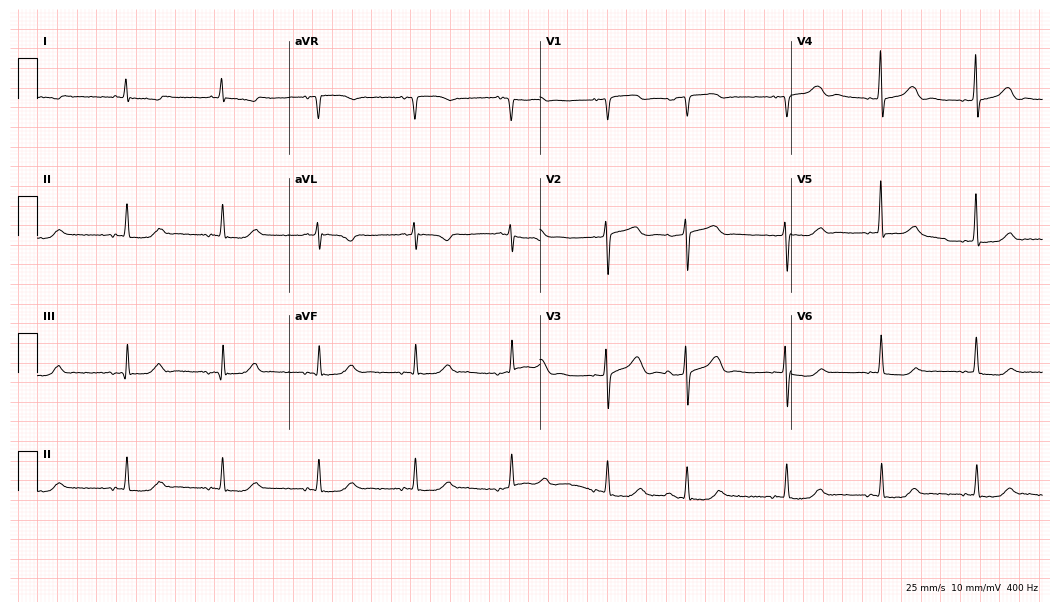
12-lead ECG from an 85-year-old male. Screened for six findings — first-degree AV block, right bundle branch block, left bundle branch block, sinus bradycardia, atrial fibrillation, sinus tachycardia — none is recorded.